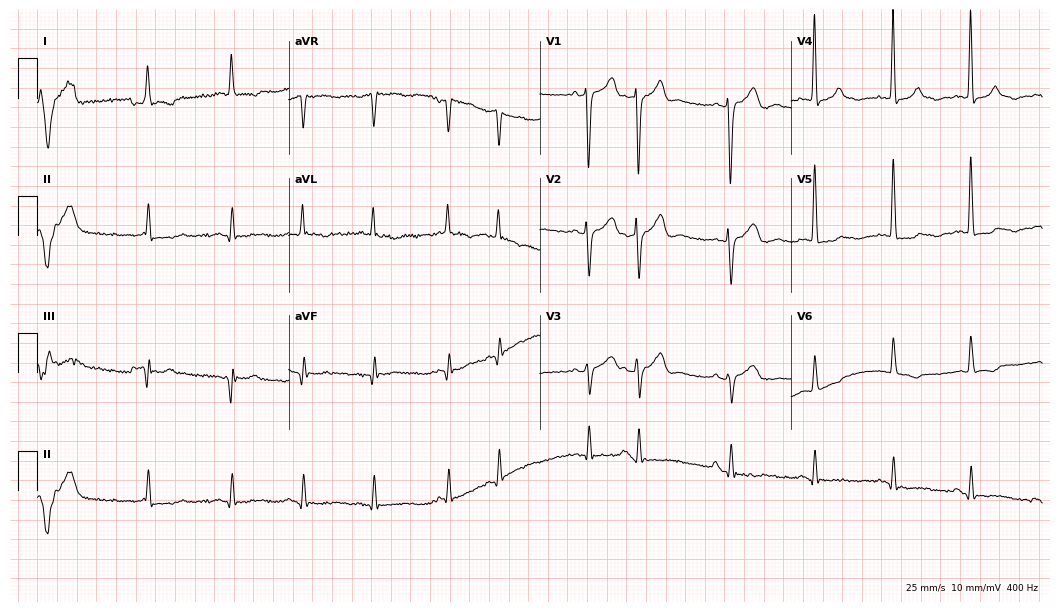
12-lead ECG from a female patient, 68 years old. Screened for six findings — first-degree AV block, right bundle branch block, left bundle branch block, sinus bradycardia, atrial fibrillation, sinus tachycardia — none is recorded. Findings outside these six are not listed.